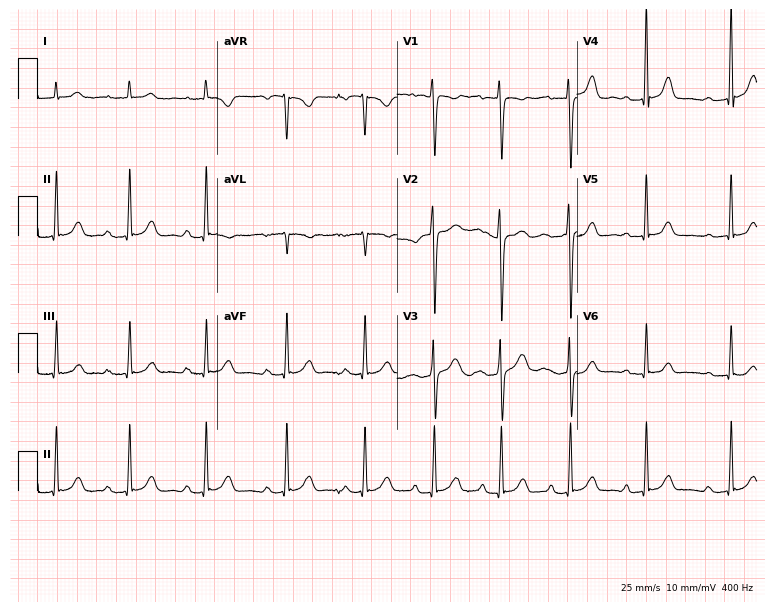
Standard 12-lead ECG recorded from a 27-year-old female (7.3-second recording at 400 Hz). The tracing shows first-degree AV block.